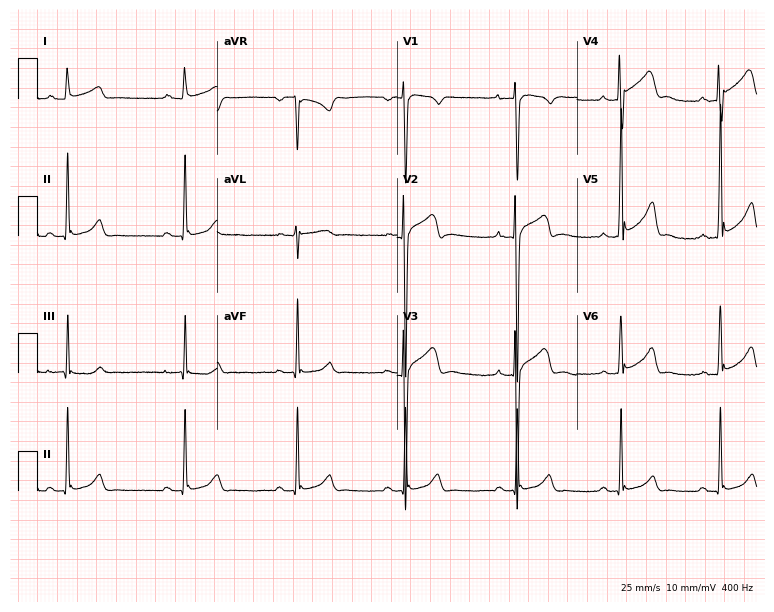
12-lead ECG (7.3-second recording at 400 Hz) from a male, 27 years old. Labelled as a normal ECG.